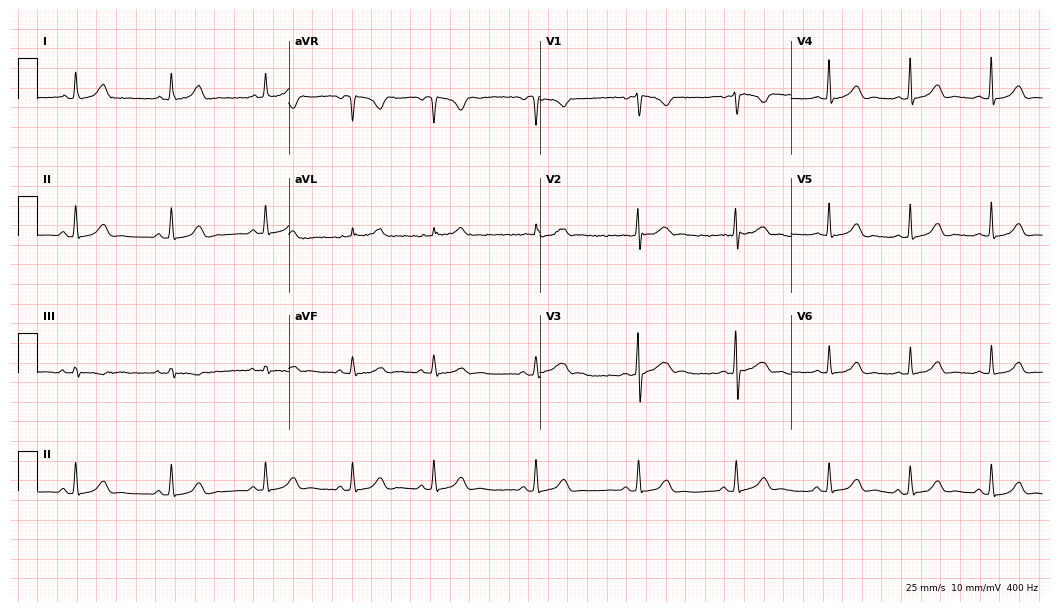
Standard 12-lead ECG recorded from a 24-year-old woman. Read as a normal ECG.